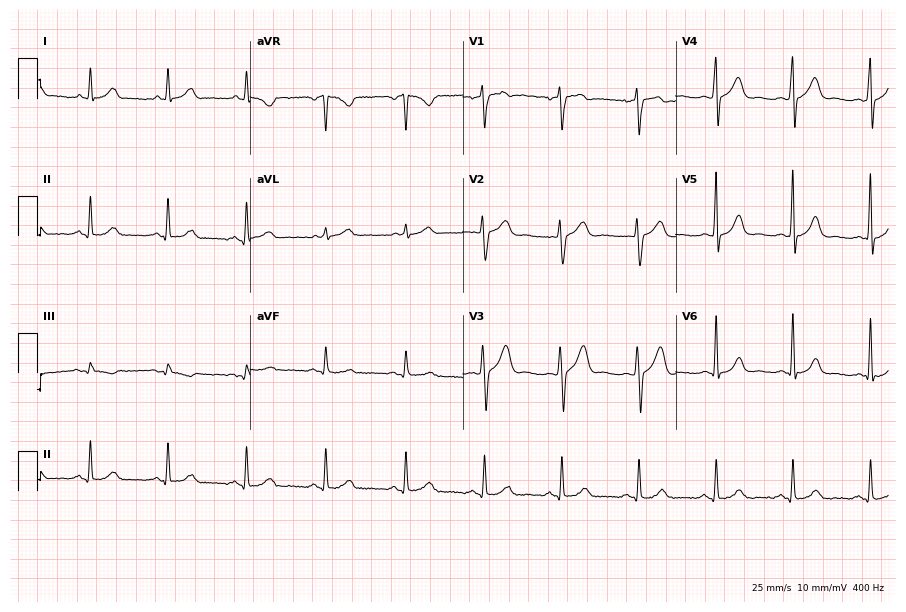
Standard 12-lead ECG recorded from a male patient, 35 years old (8.7-second recording at 400 Hz). Read as a normal ECG.